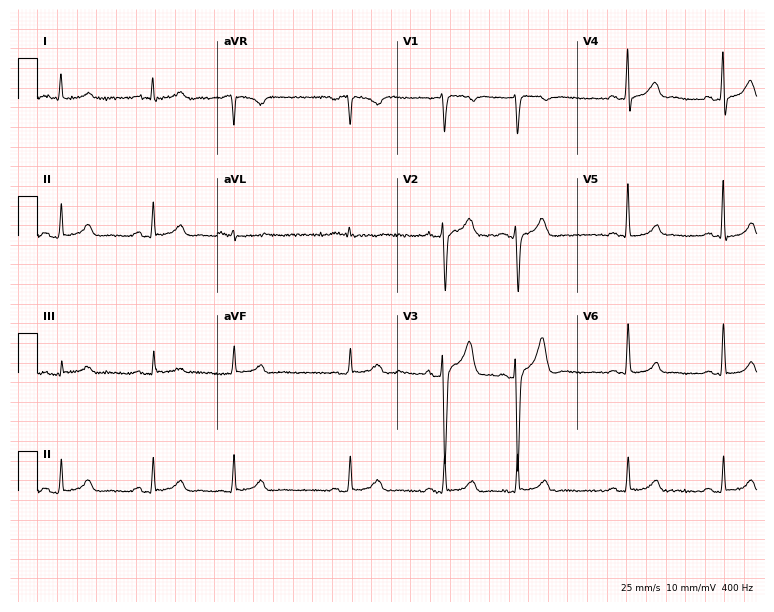
Electrocardiogram, a 37-year-old male. Overall reading on record: normal ECG.